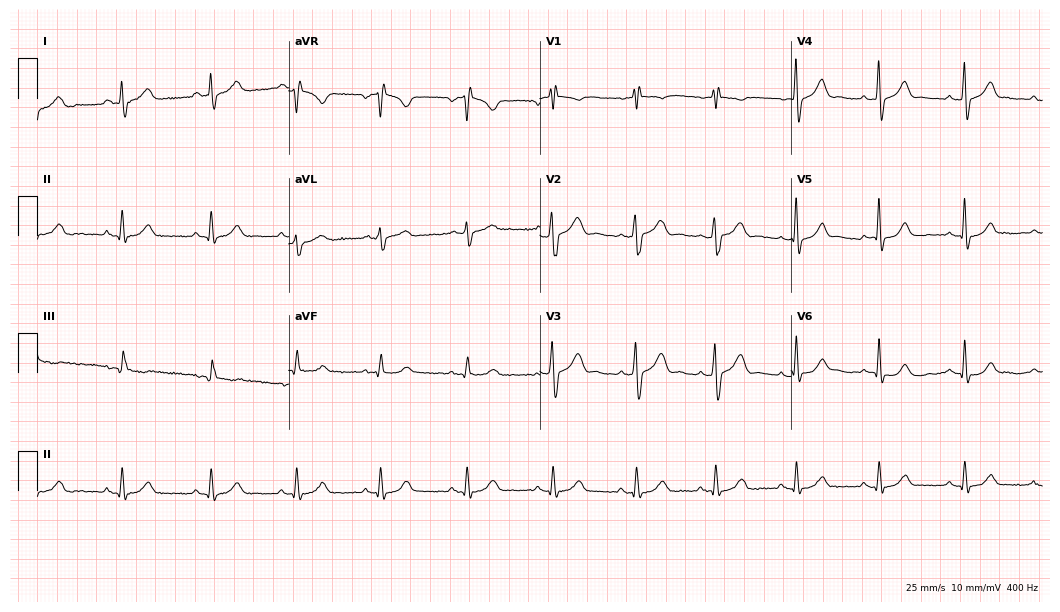
12-lead ECG from a male patient, 39 years old (10.2-second recording at 400 Hz). Recorded interpretation: within normal limits.